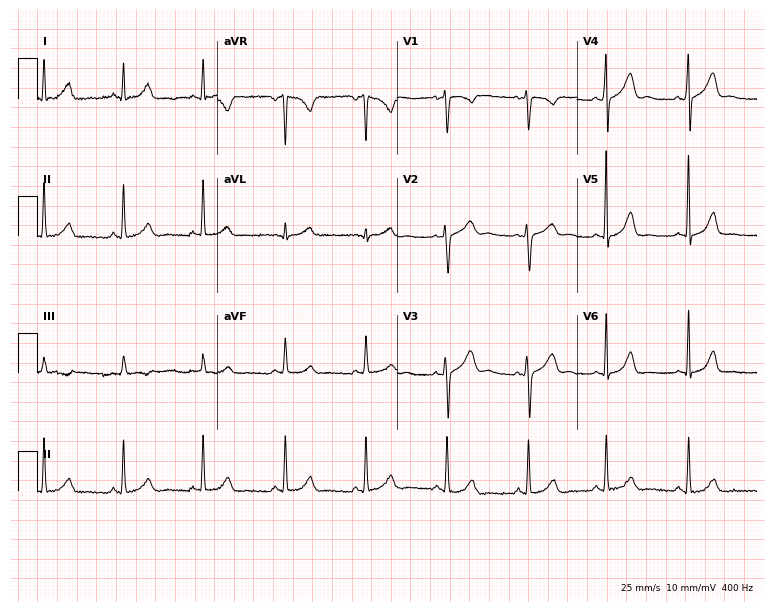
12-lead ECG from a 22-year-old woman. Recorded interpretation: within normal limits.